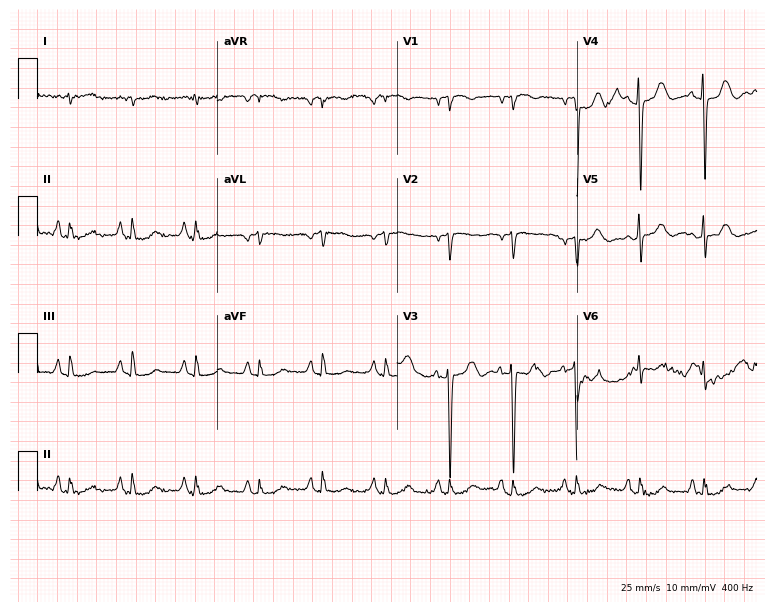
Electrocardiogram, a man, 72 years old. Of the six screened findings (first-degree AV block, right bundle branch block, left bundle branch block, sinus bradycardia, atrial fibrillation, sinus tachycardia), none is recorded.